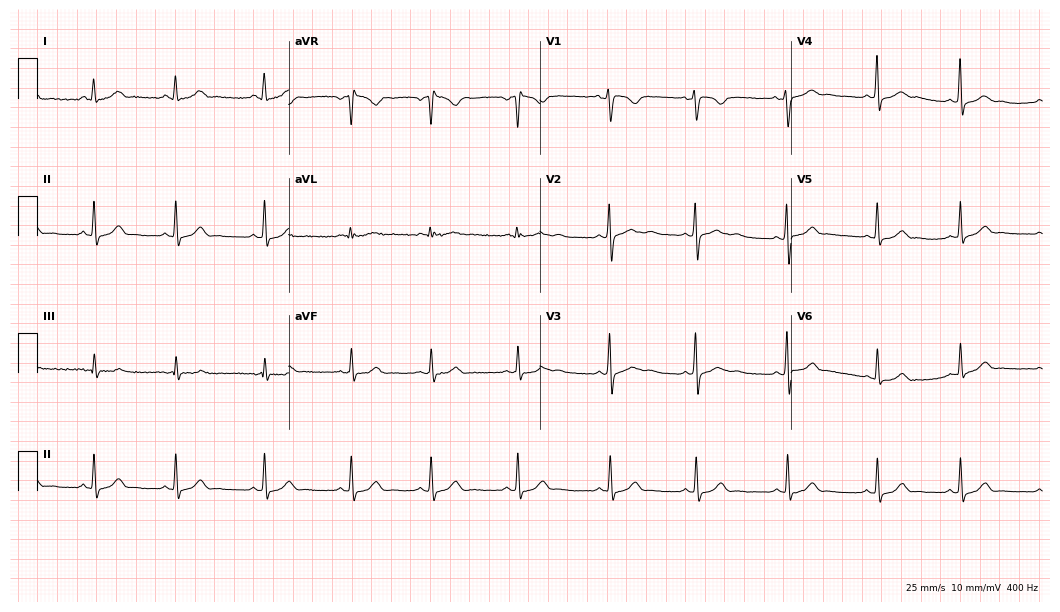
12-lead ECG from a female patient, 39 years old (10.2-second recording at 400 Hz). Recorded interpretation: within normal limits.